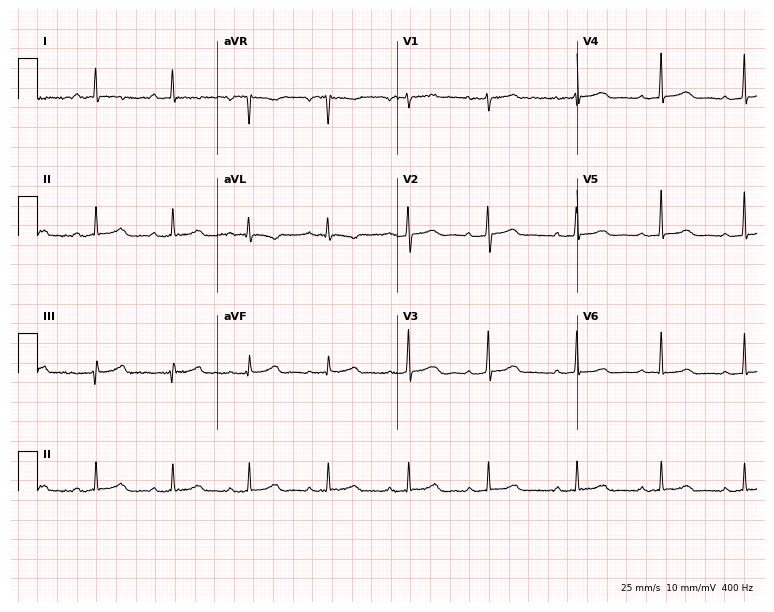
12-lead ECG from a woman, 30 years old. Screened for six findings — first-degree AV block, right bundle branch block (RBBB), left bundle branch block (LBBB), sinus bradycardia, atrial fibrillation (AF), sinus tachycardia — none is recorded.